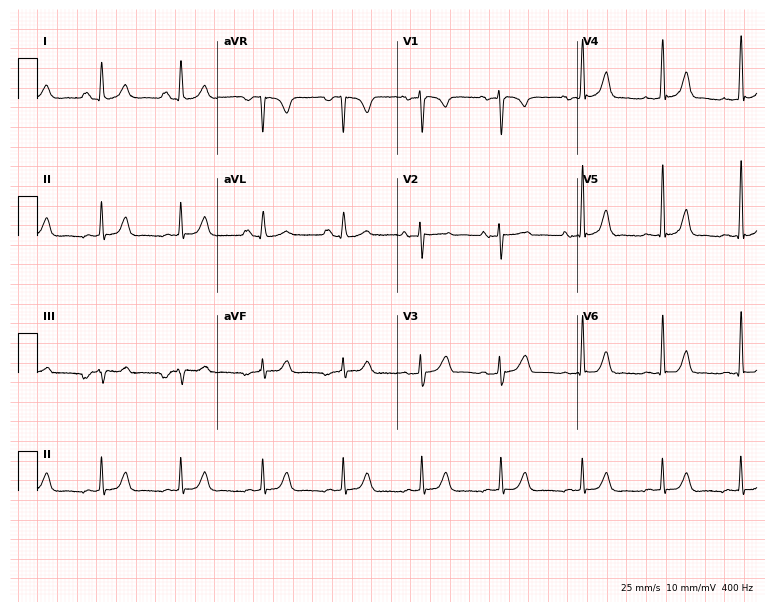
12-lead ECG from a female patient, 26 years old (7.3-second recording at 400 Hz). Recorded interpretation: within normal limits.